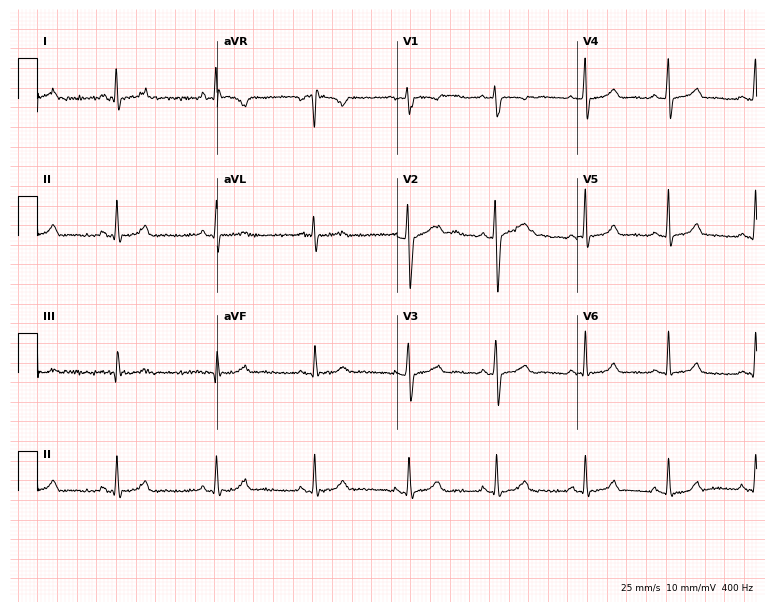
Electrocardiogram (7.3-second recording at 400 Hz), a woman, 28 years old. Of the six screened findings (first-degree AV block, right bundle branch block (RBBB), left bundle branch block (LBBB), sinus bradycardia, atrial fibrillation (AF), sinus tachycardia), none is recorded. Findings outside these six are not listed.